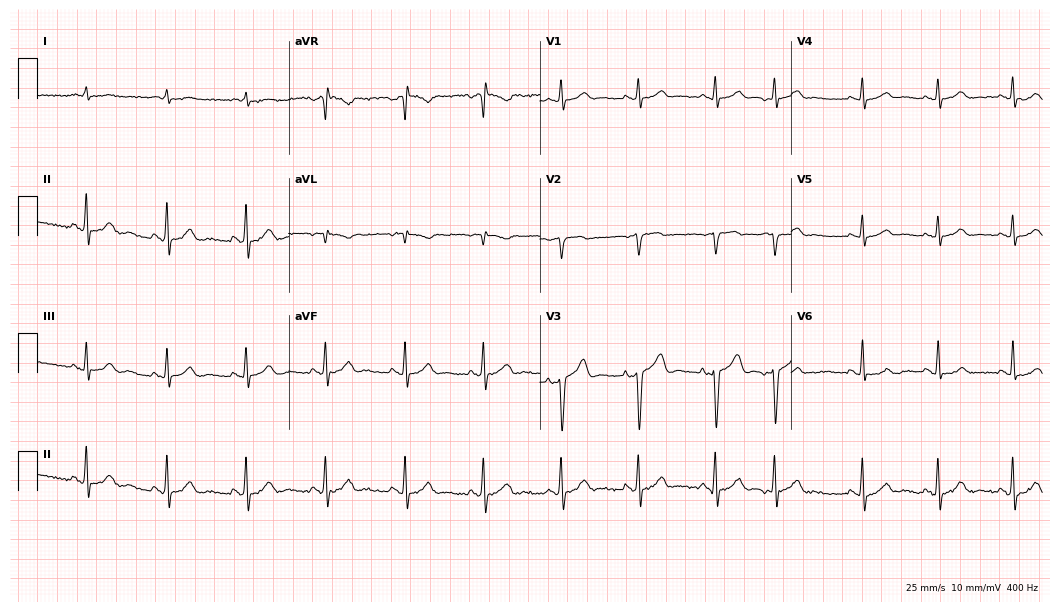
Standard 12-lead ECG recorded from a male patient, 64 years old (10.2-second recording at 400 Hz). Read as a normal ECG.